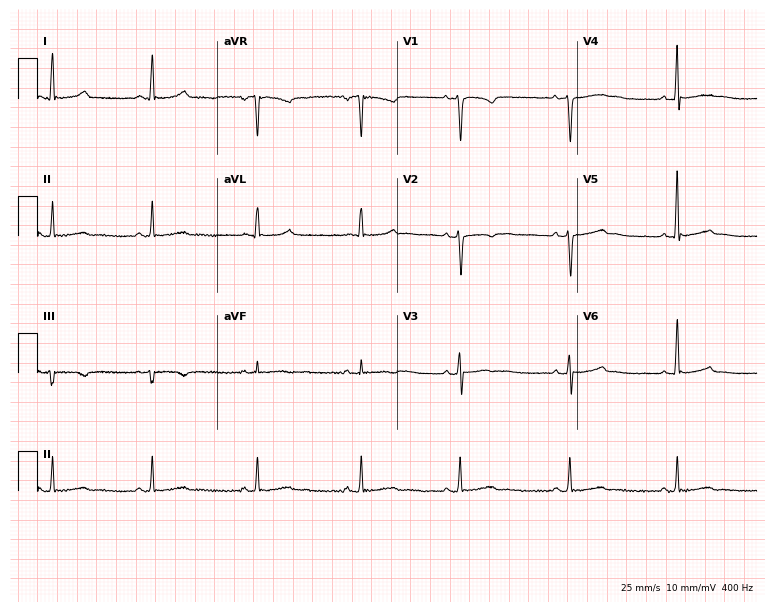
Electrocardiogram, a 29-year-old female. Of the six screened findings (first-degree AV block, right bundle branch block (RBBB), left bundle branch block (LBBB), sinus bradycardia, atrial fibrillation (AF), sinus tachycardia), none is recorded. Other findings, if any, are not listed.